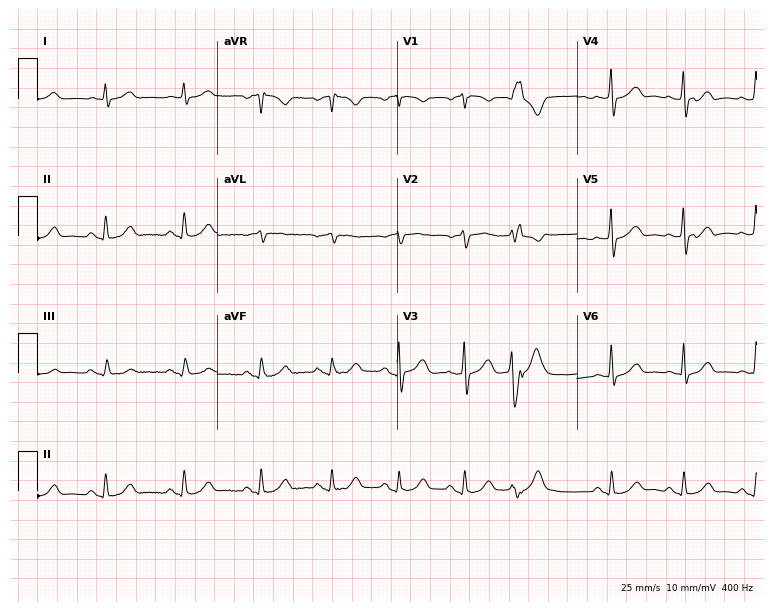
Standard 12-lead ECG recorded from a 71-year-old male patient. None of these six findings is recorded: first-degree AV block, right bundle branch block, left bundle branch block, sinus bradycardia, atrial fibrillation, sinus tachycardia. Other findings, if any, are not listed.